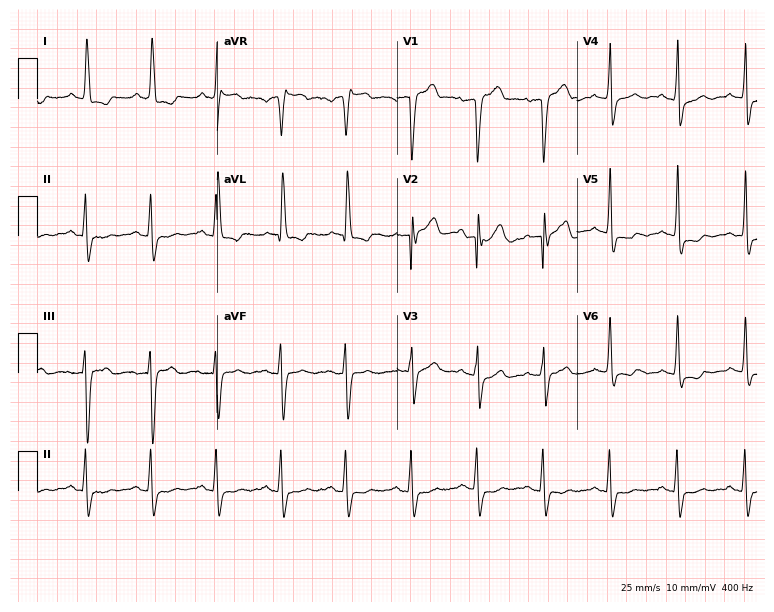
Standard 12-lead ECG recorded from a male, 77 years old (7.3-second recording at 400 Hz). None of these six findings is recorded: first-degree AV block, right bundle branch block, left bundle branch block, sinus bradycardia, atrial fibrillation, sinus tachycardia. Other findings, if any, are not listed.